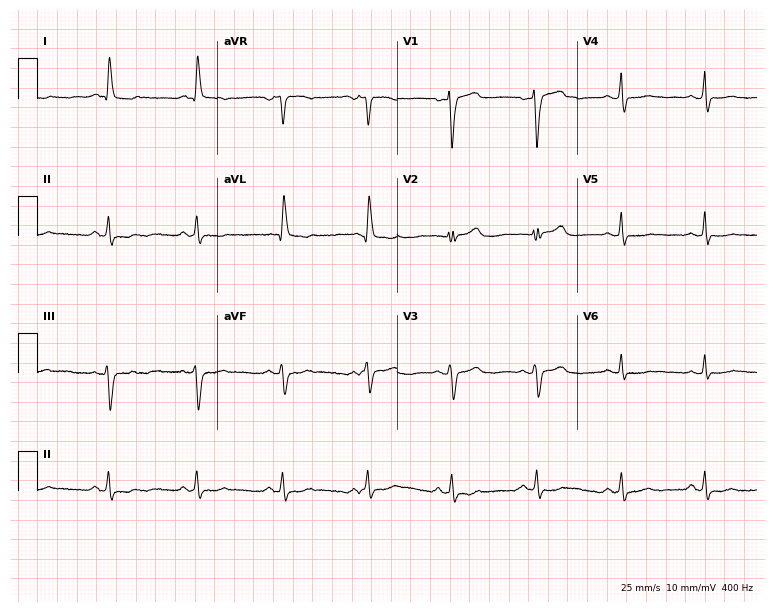
Resting 12-lead electrocardiogram (7.3-second recording at 400 Hz). Patient: a female, 68 years old. None of these six findings is recorded: first-degree AV block, right bundle branch block (RBBB), left bundle branch block (LBBB), sinus bradycardia, atrial fibrillation (AF), sinus tachycardia.